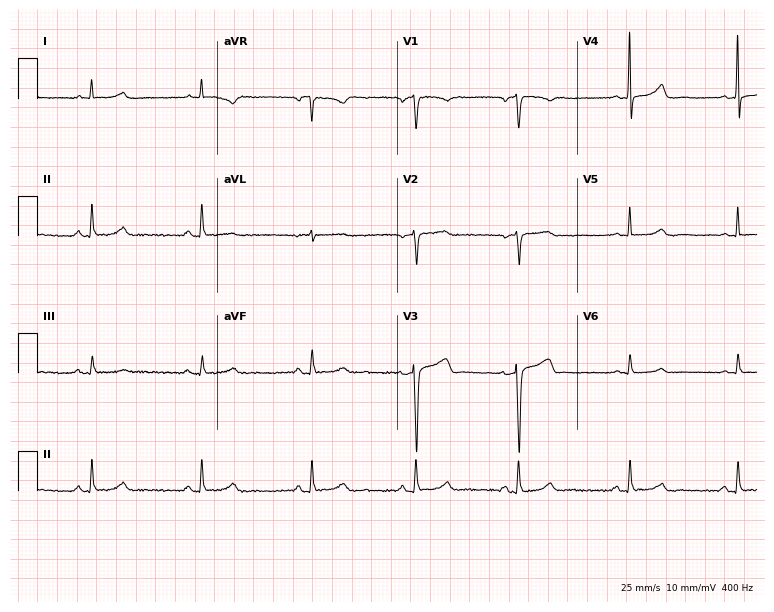
Electrocardiogram, a 75-year-old female. Overall reading on record: normal ECG.